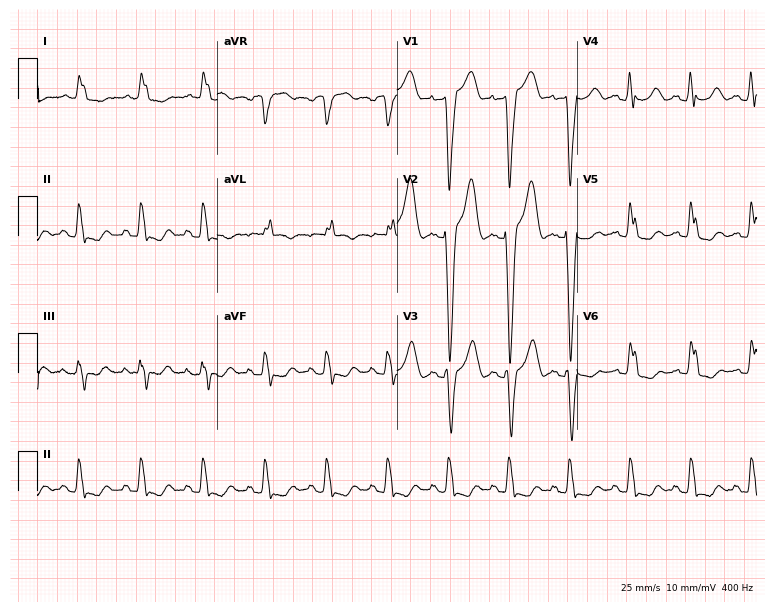
12-lead ECG from a woman, 69 years old. Findings include left bundle branch block.